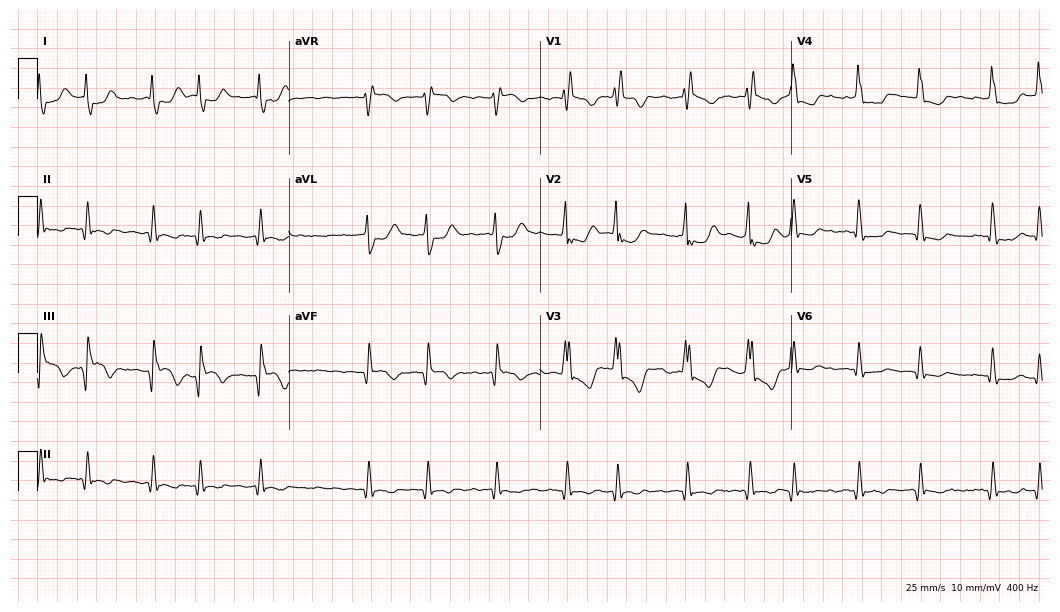
12-lead ECG (10.2-second recording at 400 Hz) from a 57-year-old man. Findings include atrial fibrillation (AF).